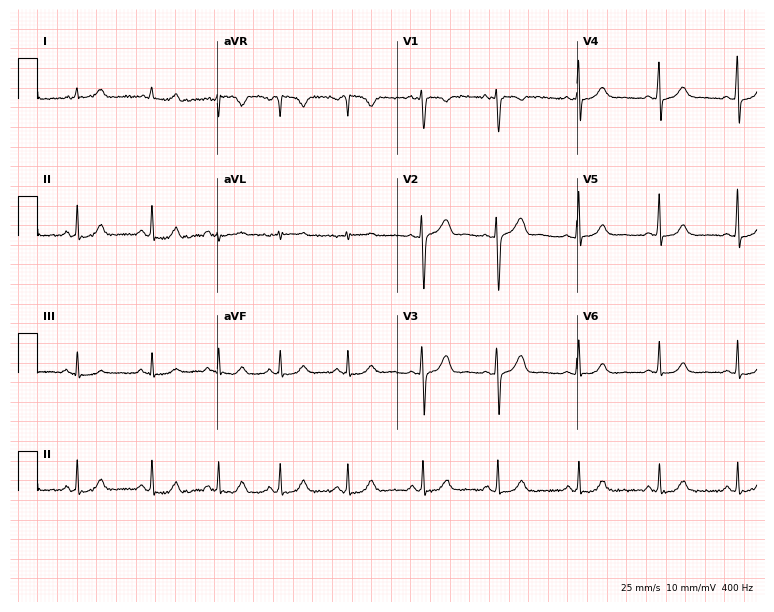
12-lead ECG (7.3-second recording at 400 Hz) from a woman, 29 years old. Labelled as a normal ECG.